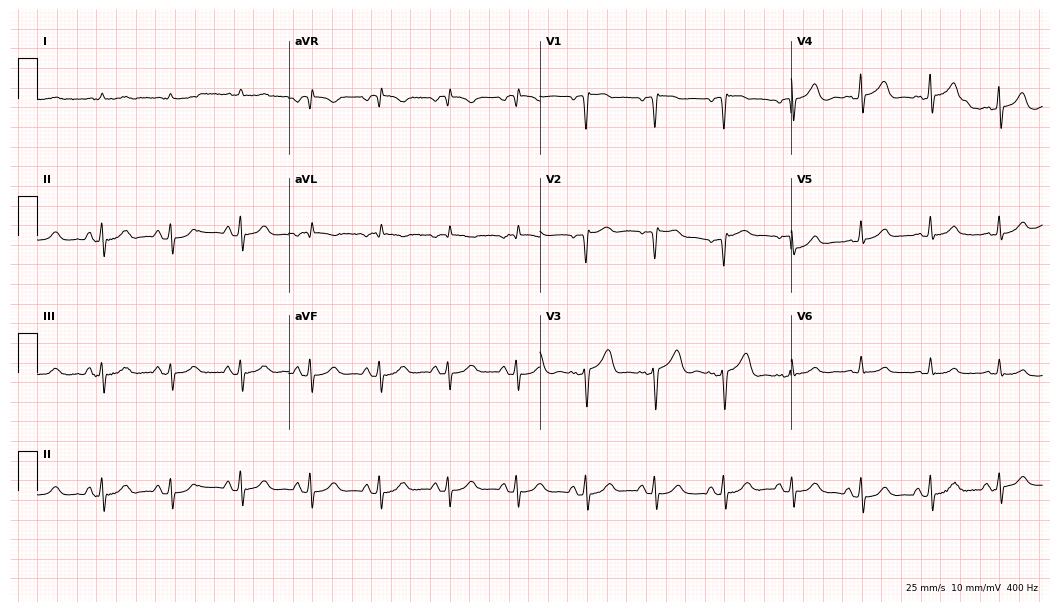
ECG (10.2-second recording at 400 Hz) — an 80-year-old male patient. Screened for six findings — first-degree AV block, right bundle branch block (RBBB), left bundle branch block (LBBB), sinus bradycardia, atrial fibrillation (AF), sinus tachycardia — none is recorded. Other findings, if any, are not listed.